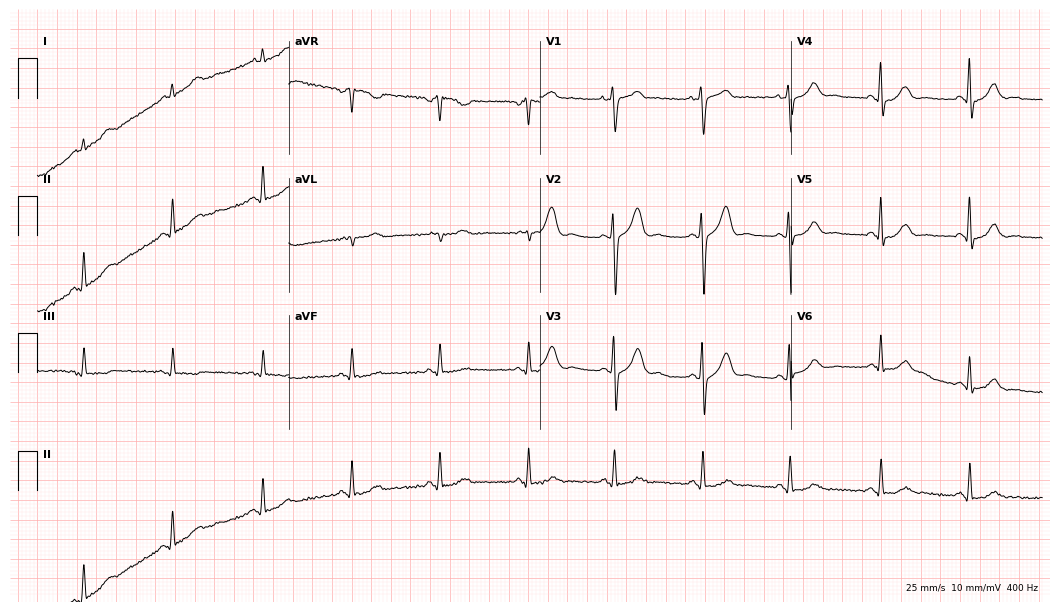
ECG — a male patient, 35 years old. Labelled as a normal ECG.